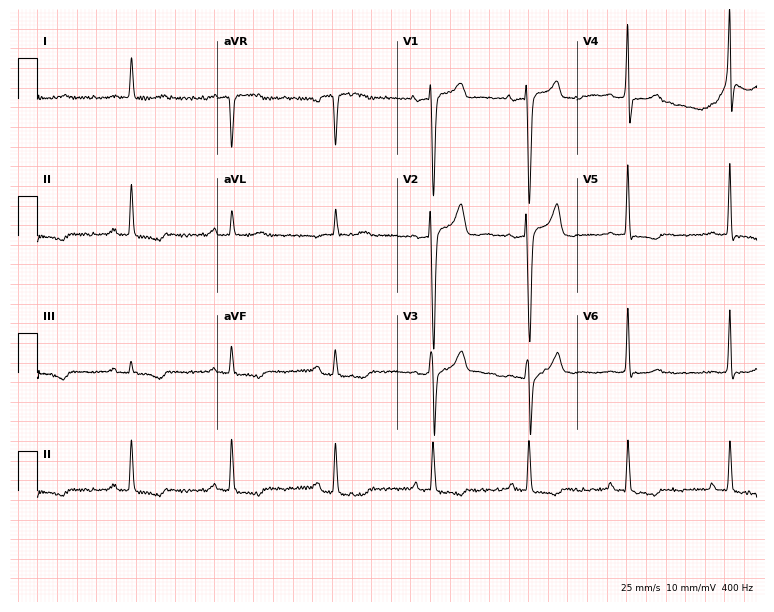
Resting 12-lead electrocardiogram. Patient: a male, 72 years old. None of these six findings is recorded: first-degree AV block, right bundle branch block (RBBB), left bundle branch block (LBBB), sinus bradycardia, atrial fibrillation (AF), sinus tachycardia. Only these six findings were labelled.